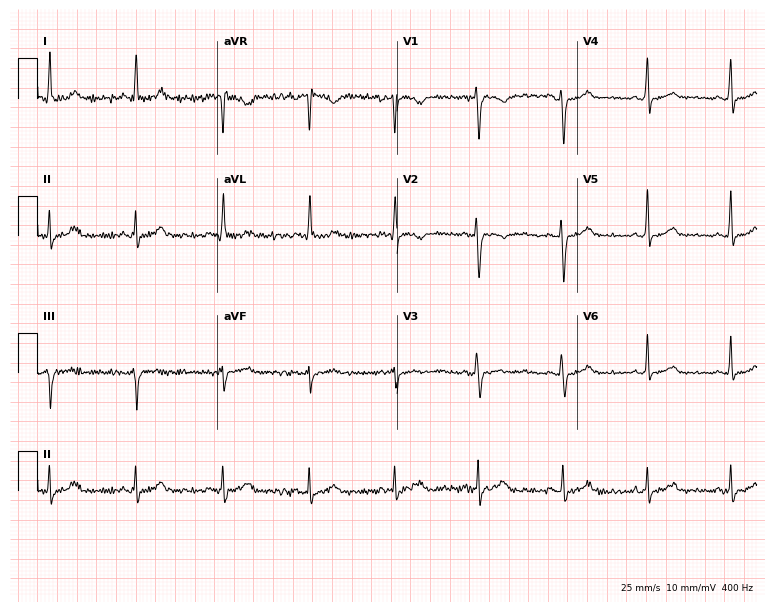
ECG — a female, 47 years old. Screened for six findings — first-degree AV block, right bundle branch block, left bundle branch block, sinus bradycardia, atrial fibrillation, sinus tachycardia — none is recorded.